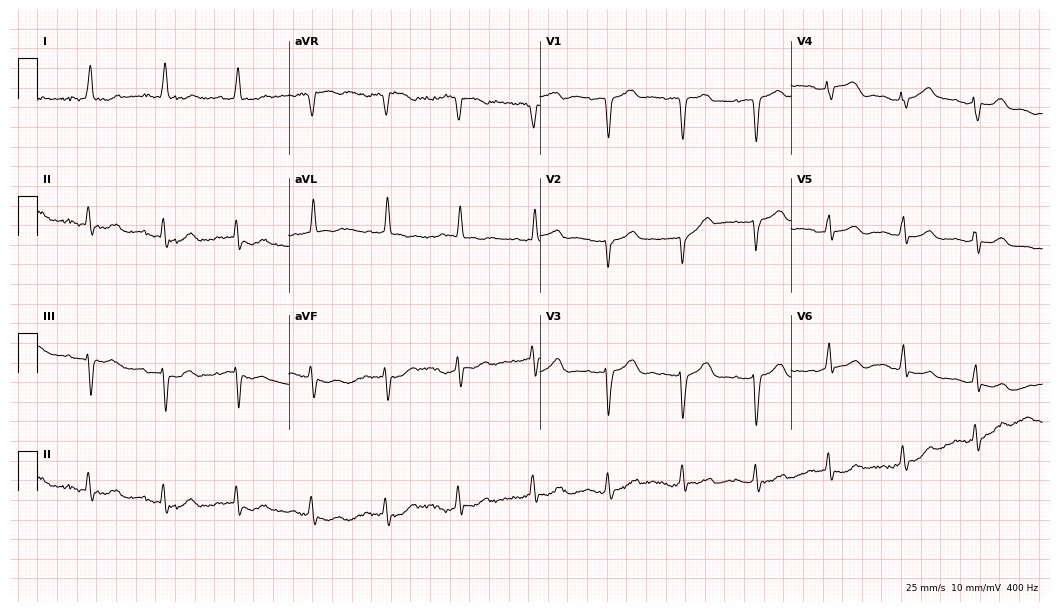
Resting 12-lead electrocardiogram. Patient: an 85-year-old woman. The tracing shows first-degree AV block.